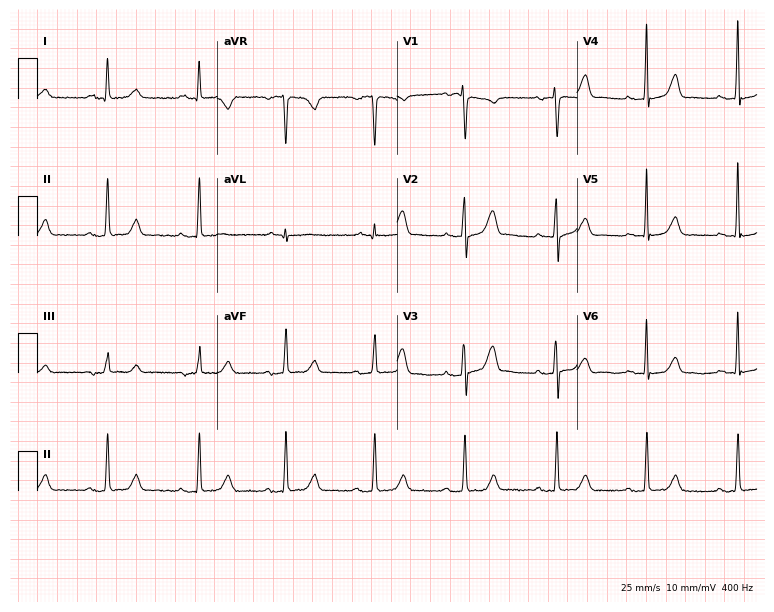
Resting 12-lead electrocardiogram (7.3-second recording at 400 Hz). Patient: a 61-year-old female. The tracing shows first-degree AV block.